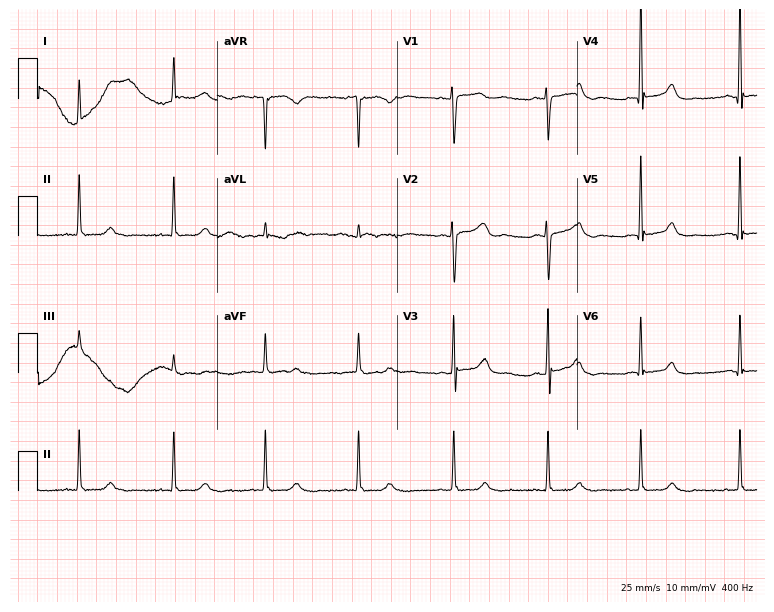
Electrocardiogram (7.3-second recording at 400 Hz), a 37-year-old woman. Of the six screened findings (first-degree AV block, right bundle branch block, left bundle branch block, sinus bradycardia, atrial fibrillation, sinus tachycardia), none is recorded.